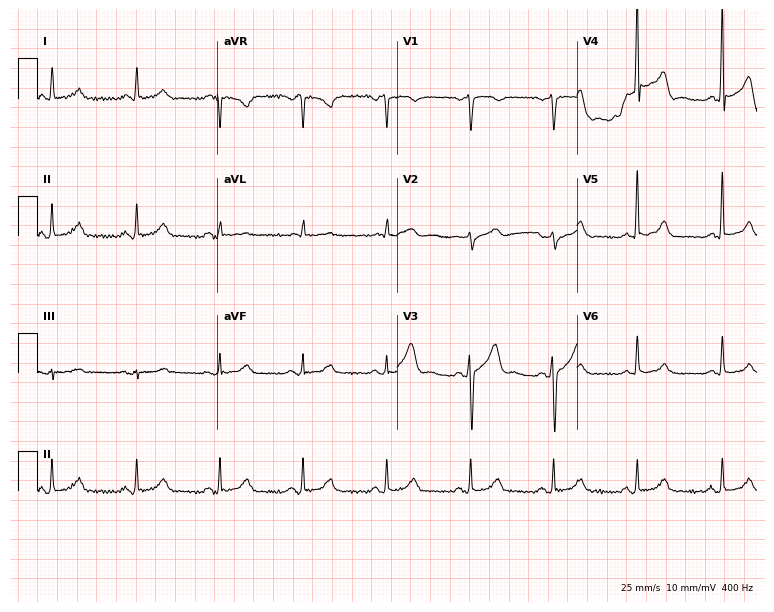
ECG (7.3-second recording at 400 Hz) — a male patient, 58 years old. Labelled as a normal ECG.